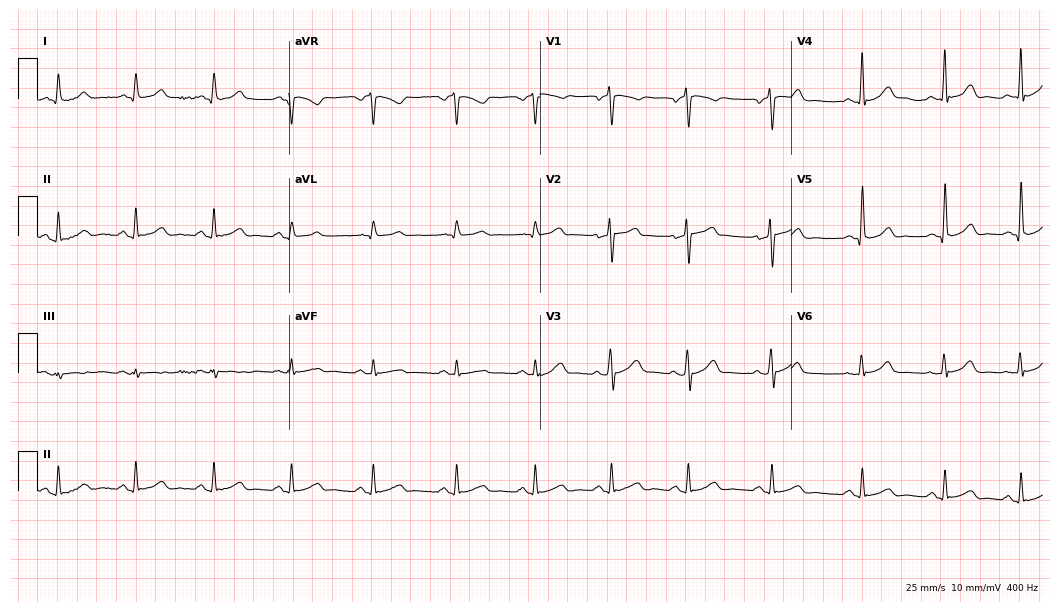
Standard 12-lead ECG recorded from a male patient, 51 years old. Read as a normal ECG.